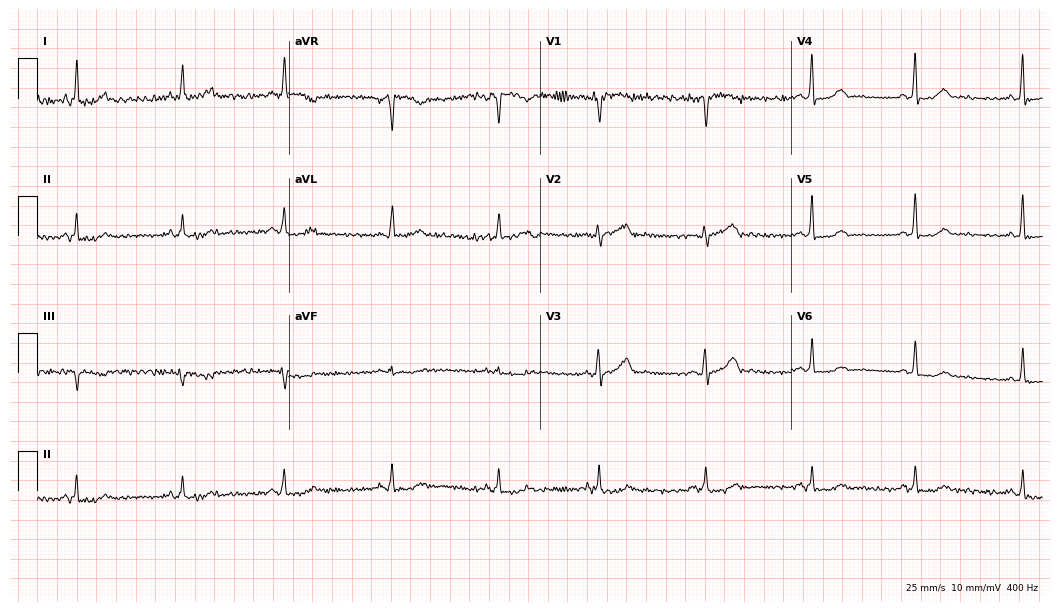
12-lead ECG from a female, 44 years old (10.2-second recording at 400 Hz). Recorded interpretation: within normal limits.